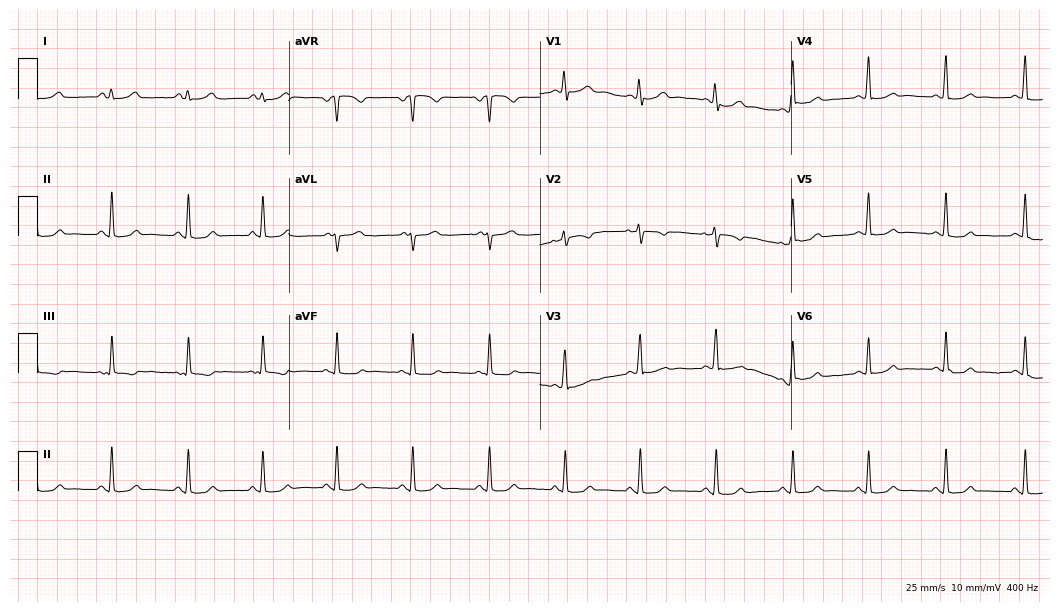
12-lead ECG from a female, 17 years old. Screened for six findings — first-degree AV block, right bundle branch block, left bundle branch block, sinus bradycardia, atrial fibrillation, sinus tachycardia — none is recorded.